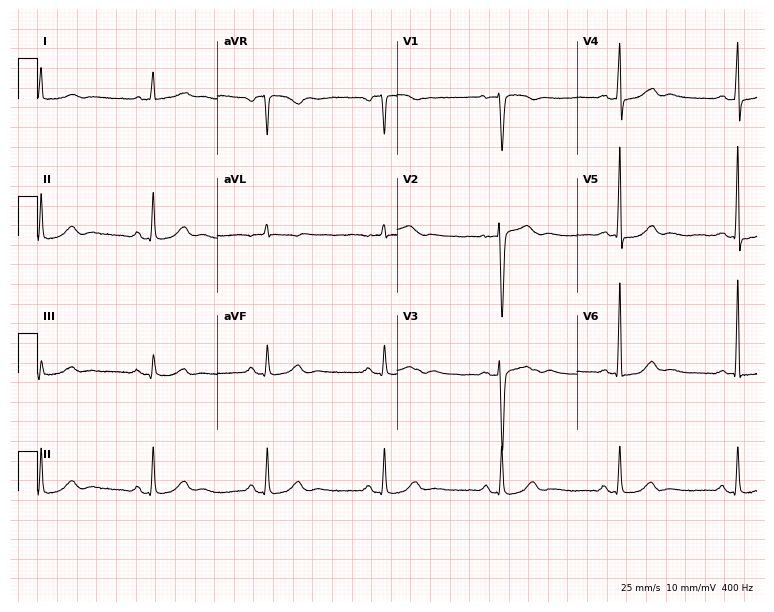
12-lead ECG from a male patient, 61 years old. Labelled as a normal ECG.